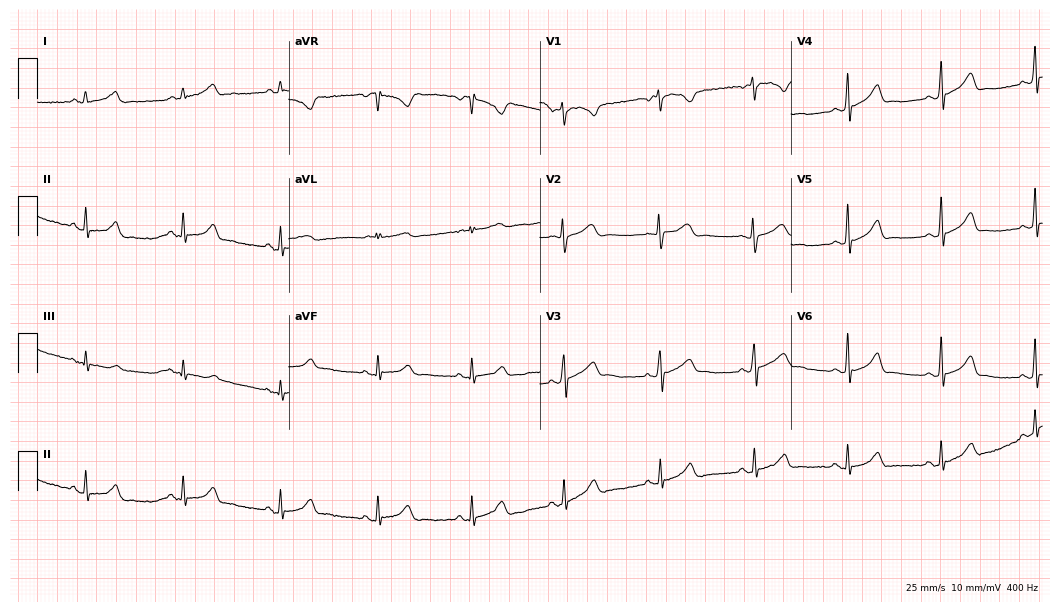
12-lead ECG (10.2-second recording at 400 Hz) from a 29-year-old female. Labelled as a normal ECG.